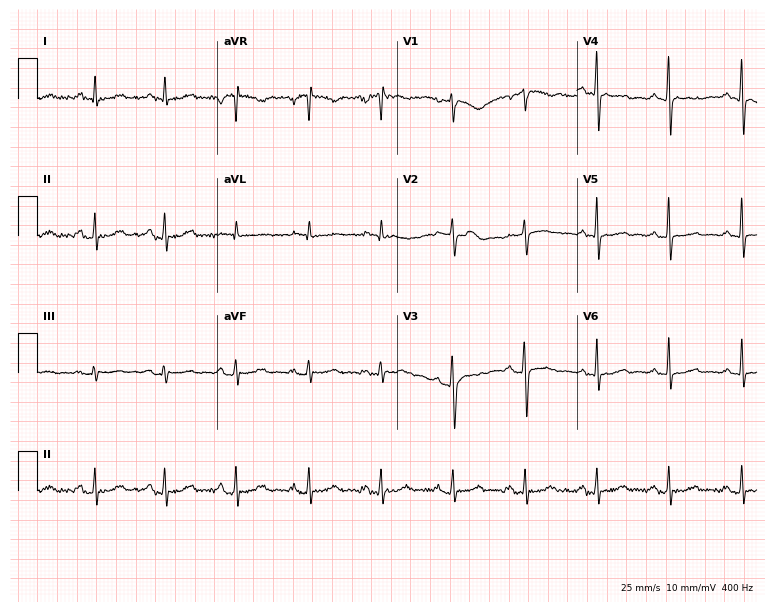
Resting 12-lead electrocardiogram. Patient: a female, 60 years old. Read as a normal ECG.